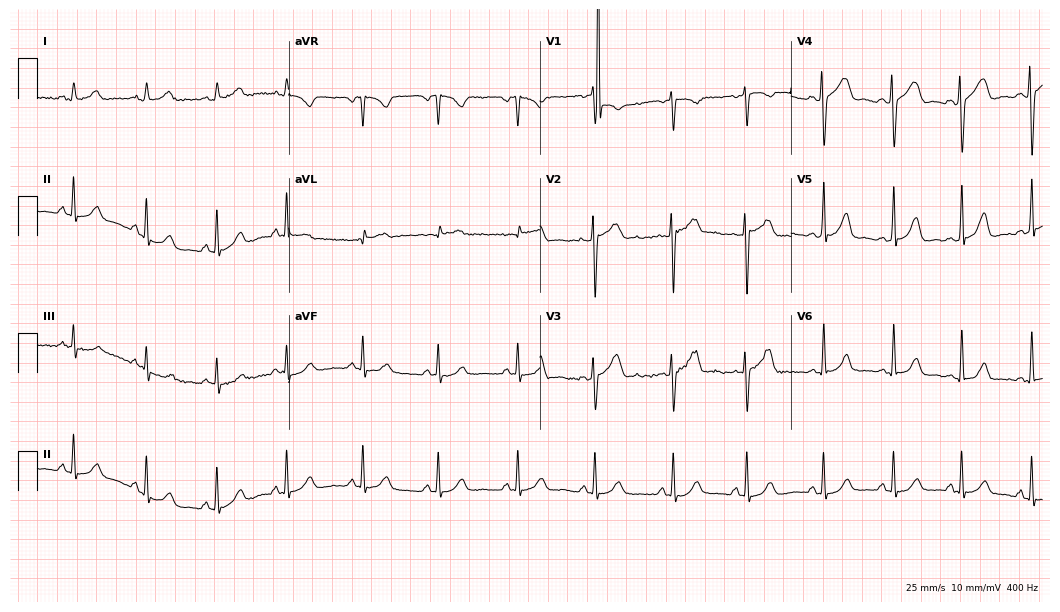
12-lead ECG from a female patient, 40 years old. Labelled as a normal ECG.